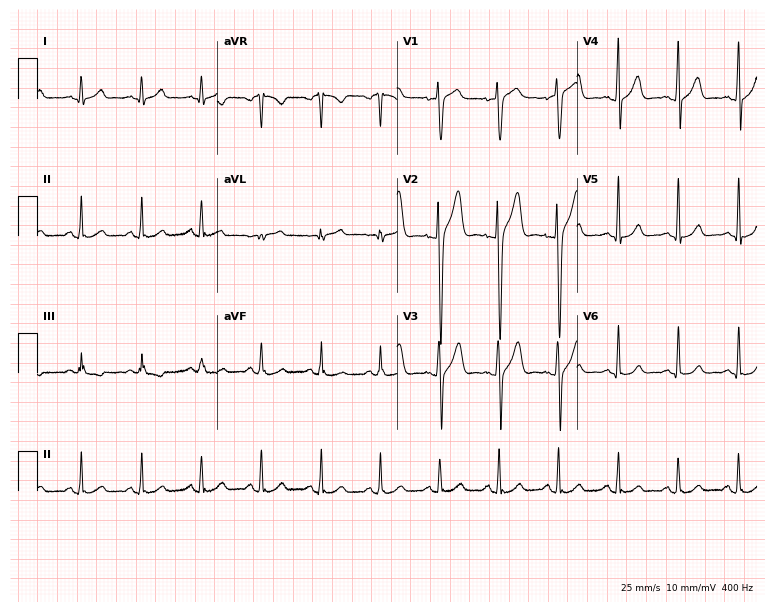
Standard 12-lead ECG recorded from a female, 21 years old (7.3-second recording at 400 Hz). Read as a normal ECG.